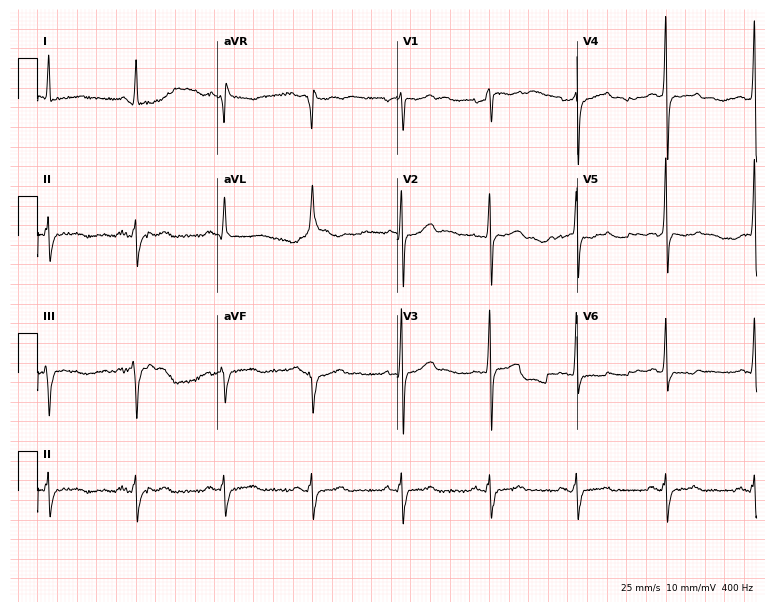
12-lead ECG from a 62-year-old male. Screened for six findings — first-degree AV block, right bundle branch block, left bundle branch block, sinus bradycardia, atrial fibrillation, sinus tachycardia — none is recorded. Findings outside these six are not listed.